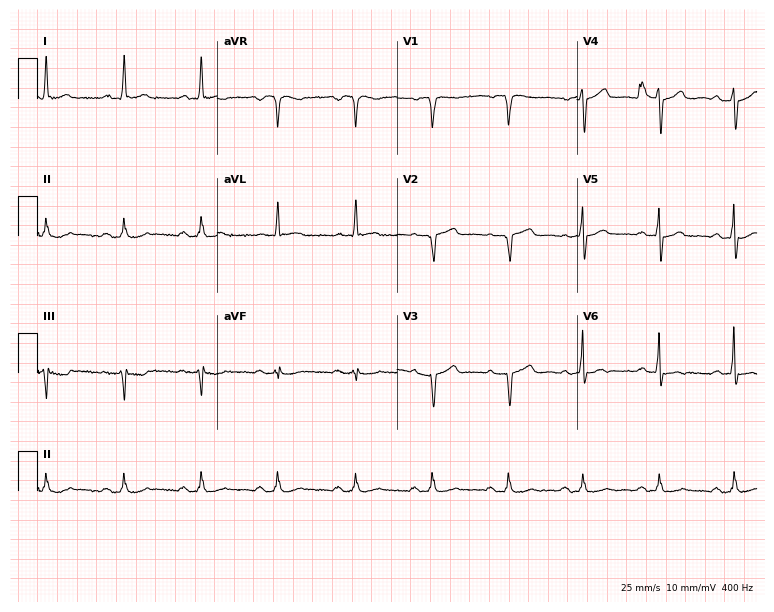
Resting 12-lead electrocardiogram (7.3-second recording at 400 Hz). Patient: a 73-year-old man. None of these six findings is recorded: first-degree AV block, right bundle branch block (RBBB), left bundle branch block (LBBB), sinus bradycardia, atrial fibrillation (AF), sinus tachycardia. Other findings, if any, are not listed.